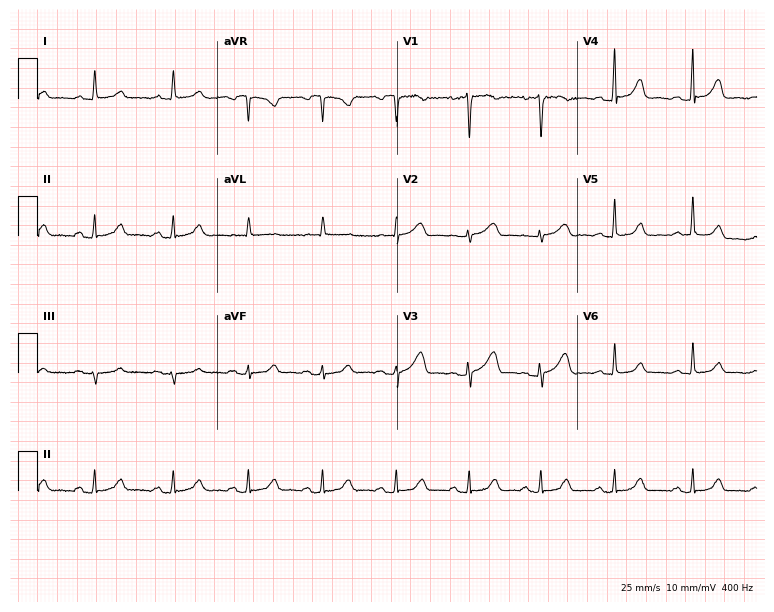
Resting 12-lead electrocardiogram. Patient: a female, 47 years old. None of these six findings is recorded: first-degree AV block, right bundle branch block, left bundle branch block, sinus bradycardia, atrial fibrillation, sinus tachycardia.